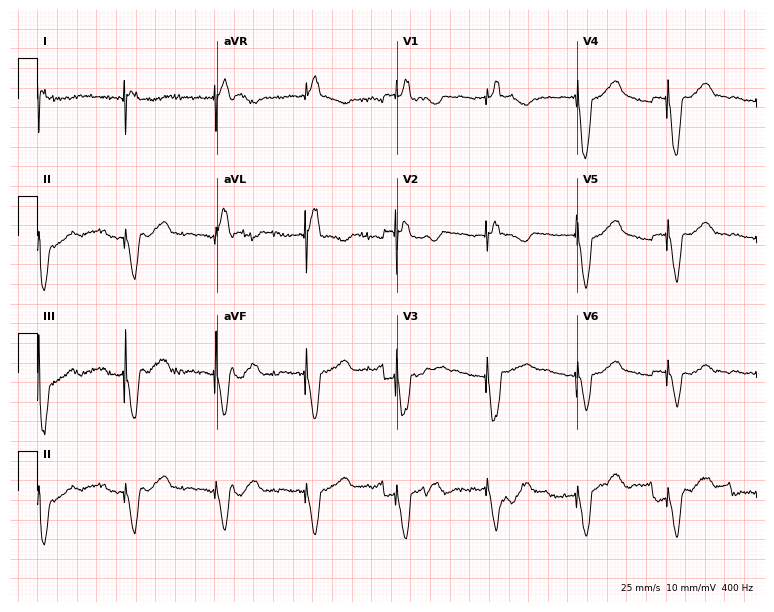
Standard 12-lead ECG recorded from a female patient, 84 years old (7.3-second recording at 400 Hz). None of these six findings is recorded: first-degree AV block, right bundle branch block, left bundle branch block, sinus bradycardia, atrial fibrillation, sinus tachycardia.